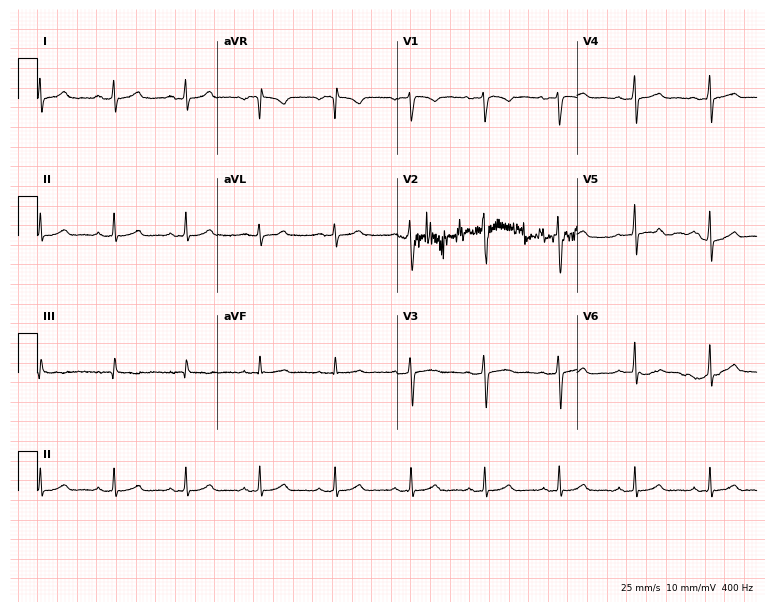
ECG (7.3-second recording at 400 Hz) — a 36-year-old female patient. Labelled as a normal ECG.